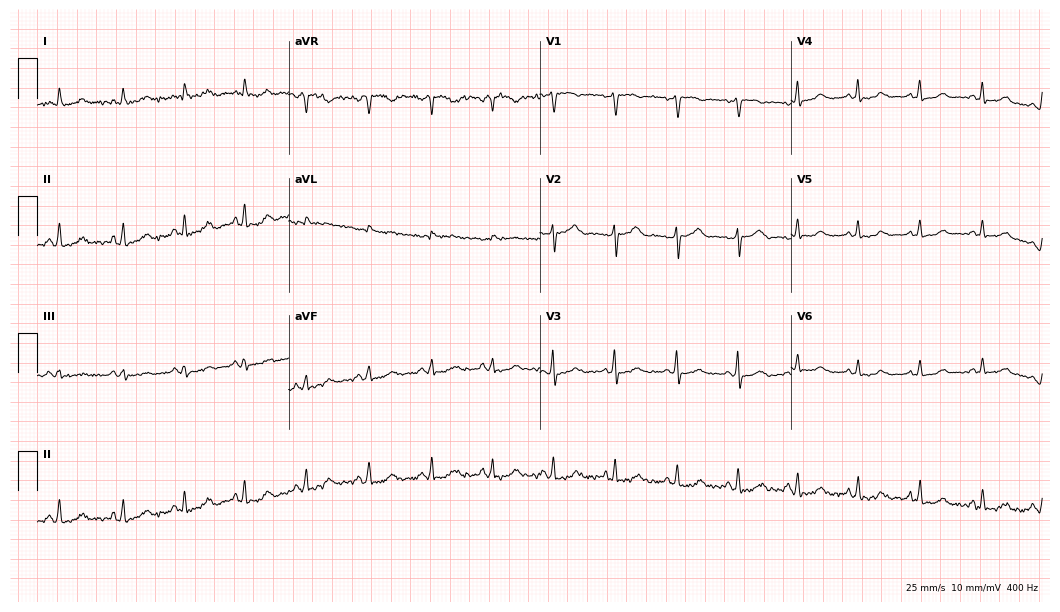
Resting 12-lead electrocardiogram (10.2-second recording at 400 Hz). Patient: a female, 26 years old. Read as a normal ECG.